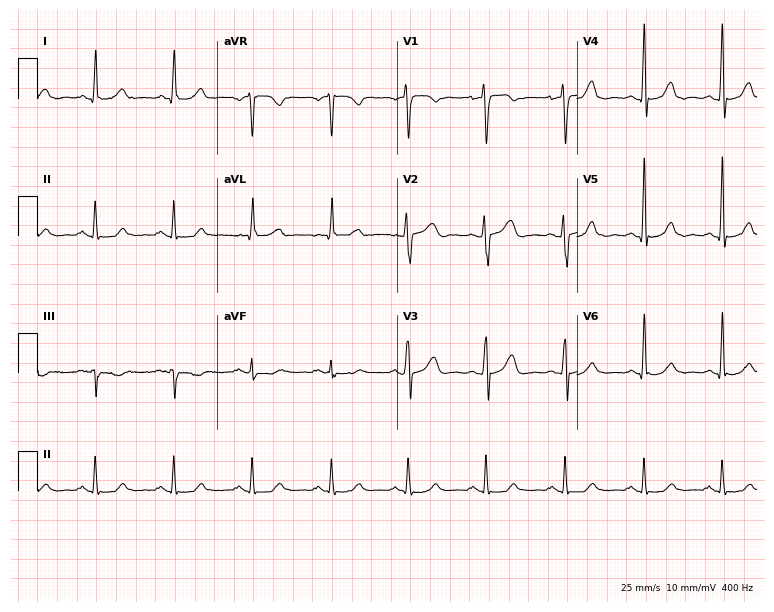
Standard 12-lead ECG recorded from a woman, 58 years old. Read as a normal ECG.